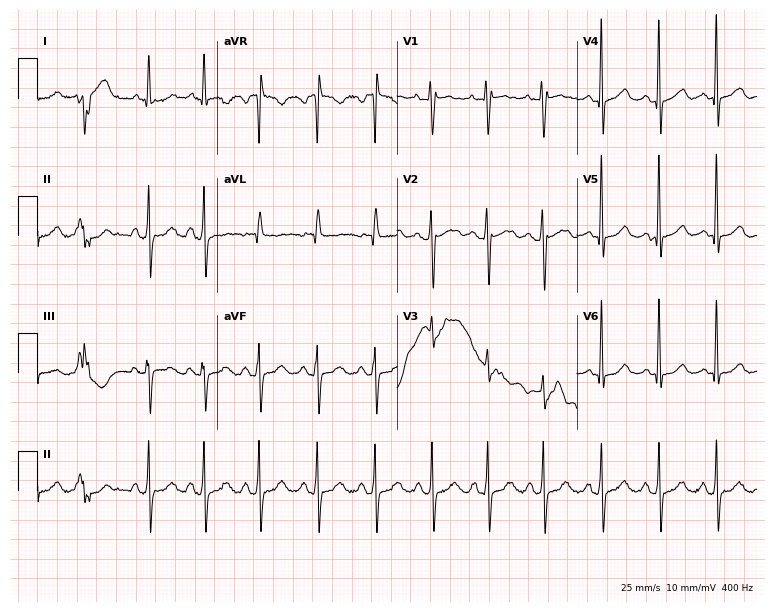
ECG (7.3-second recording at 400 Hz) — a 73-year-old woman. Findings include sinus tachycardia (a sinus rate of 100 beats per minute or more).